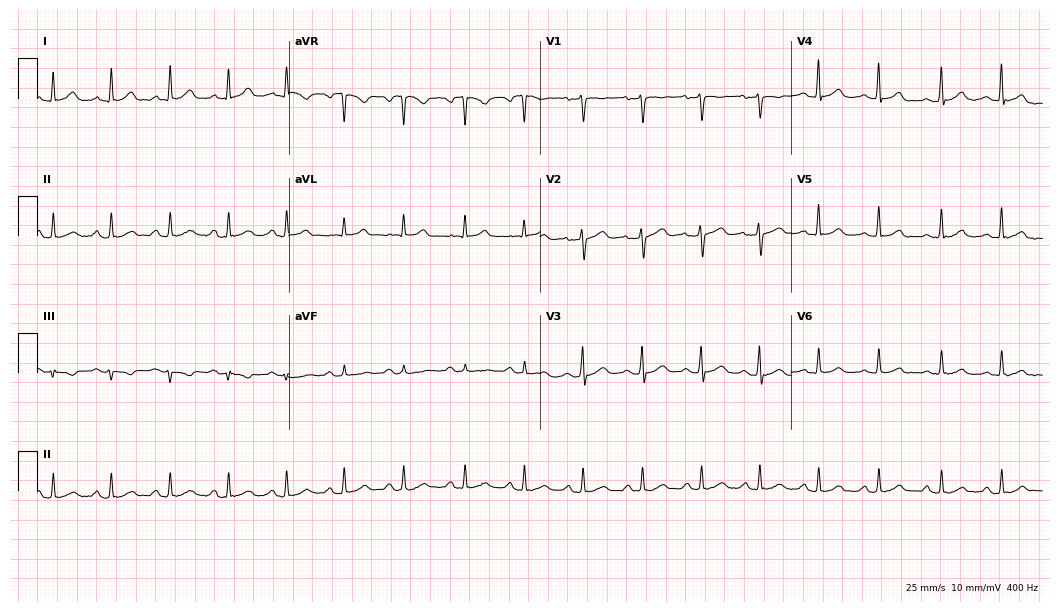
12-lead ECG from a 49-year-old female patient. Recorded interpretation: within normal limits.